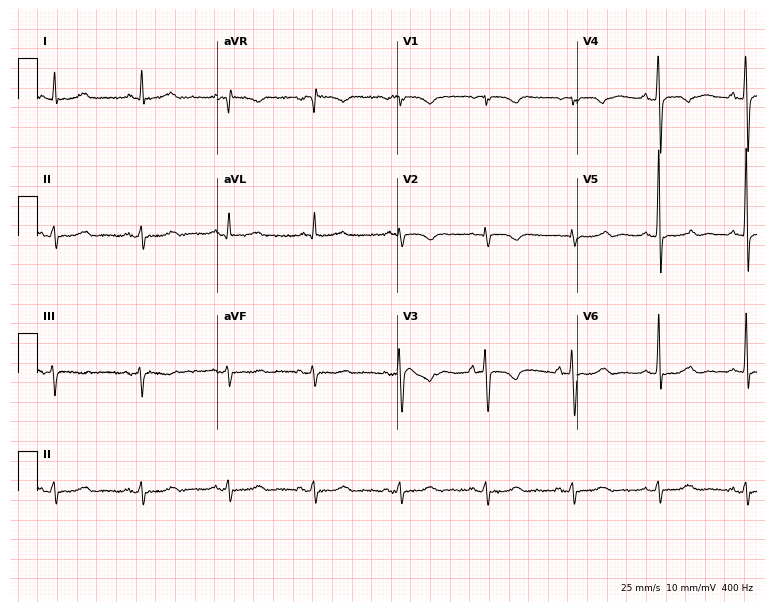
12-lead ECG (7.3-second recording at 400 Hz) from a male, 63 years old. Screened for six findings — first-degree AV block, right bundle branch block, left bundle branch block, sinus bradycardia, atrial fibrillation, sinus tachycardia — none is recorded. Other findings, if any, are not listed.